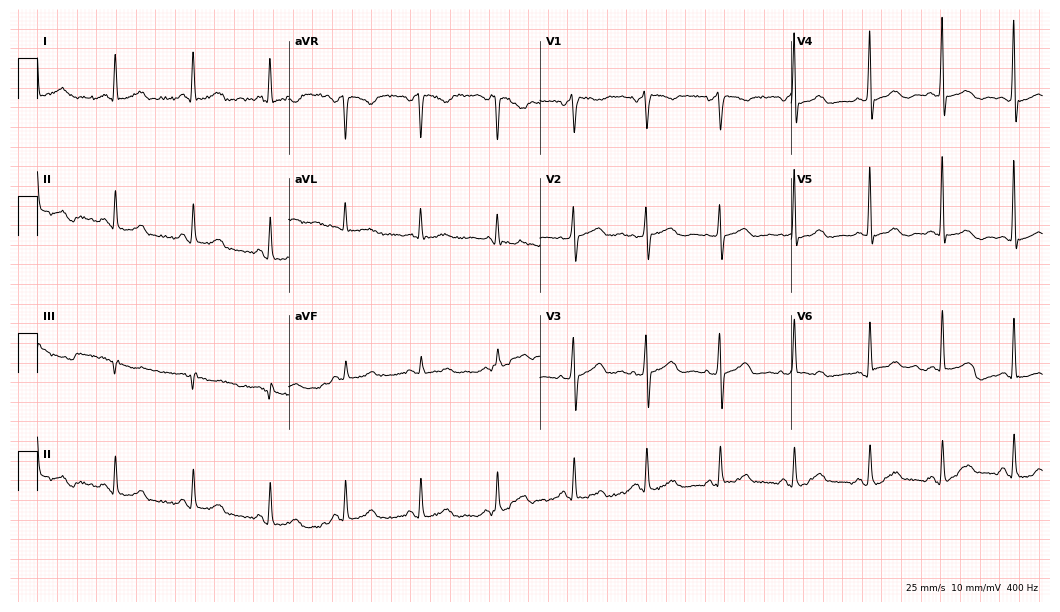
ECG (10.2-second recording at 400 Hz) — a female patient, 69 years old. Screened for six findings — first-degree AV block, right bundle branch block, left bundle branch block, sinus bradycardia, atrial fibrillation, sinus tachycardia — none is recorded. Only these six findings were labelled.